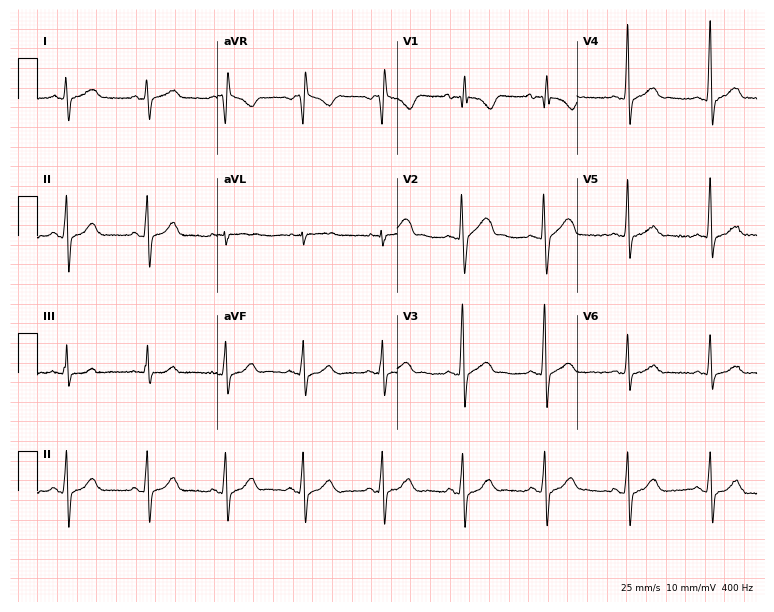
Resting 12-lead electrocardiogram (7.3-second recording at 400 Hz). Patient: a male, 42 years old. None of these six findings is recorded: first-degree AV block, right bundle branch block, left bundle branch block, sinus bradycardia, atrial fibrillation, sinus tachycardia. Only these six findings were labelled.